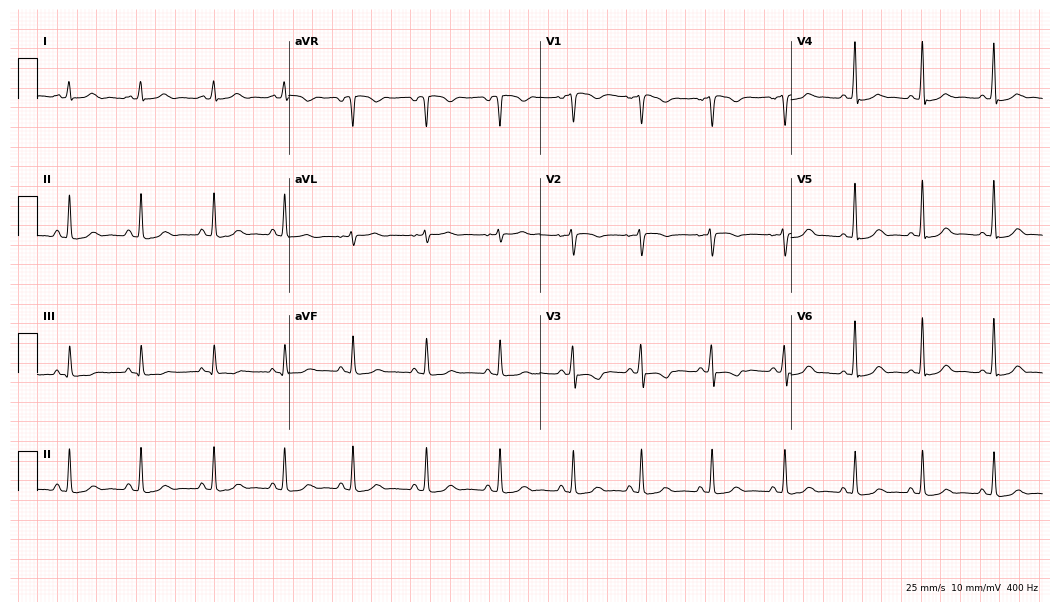
Standard 12-lead ECG recorded from a woman, 19 years old (10.2-second recording at 400 Hz). None of these six findings is recorded: first-degree AV block, right bundle branch block, left bundle branch block, sinus bradycardia, atrial fibrillation, sinus tachycardia.